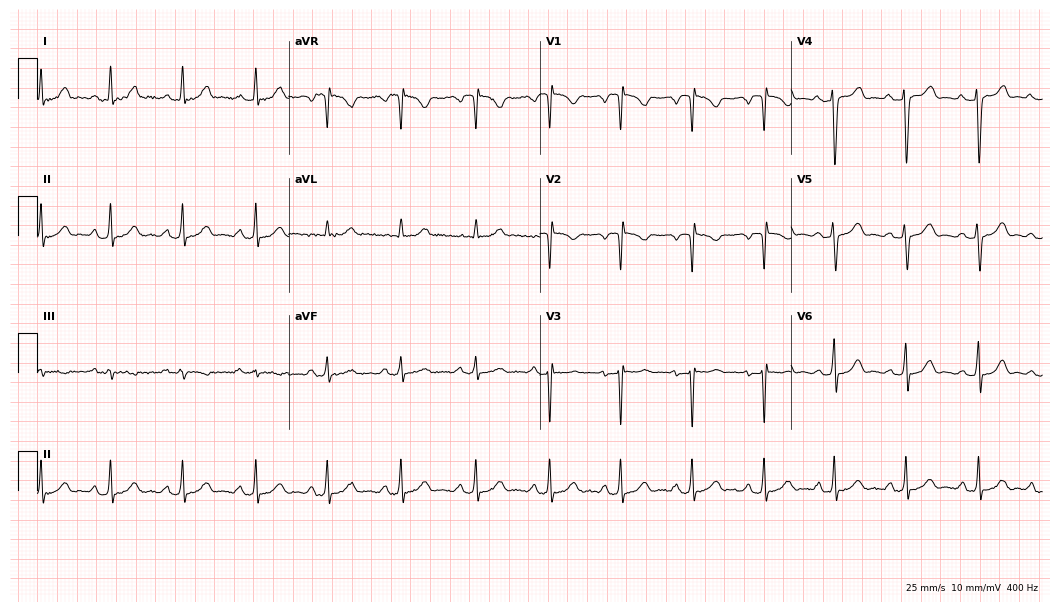
Electrocardiogram, a female, 23 years old. Of the six screened findings (first-degree AV block, right bundle branch block (RBBB), left bundle branch block (LBBB), sinus bradycardia, atrial fibrillation (AF), sinus tachycardia), none is recorded.